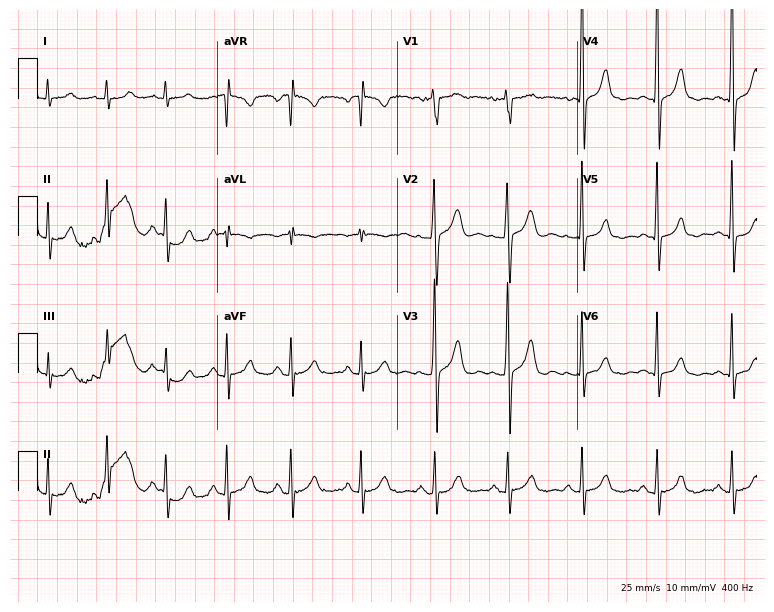
Resting 12-lead electrocardiogram. Patient: a woman, 31 years old. None of these six findings is recorded: first-degree AV block, right bundle branch block, left bundle branch block, sinus bradycardia, atrial fibrillation, sinus tachycardia. Findings outside these six are not listed.